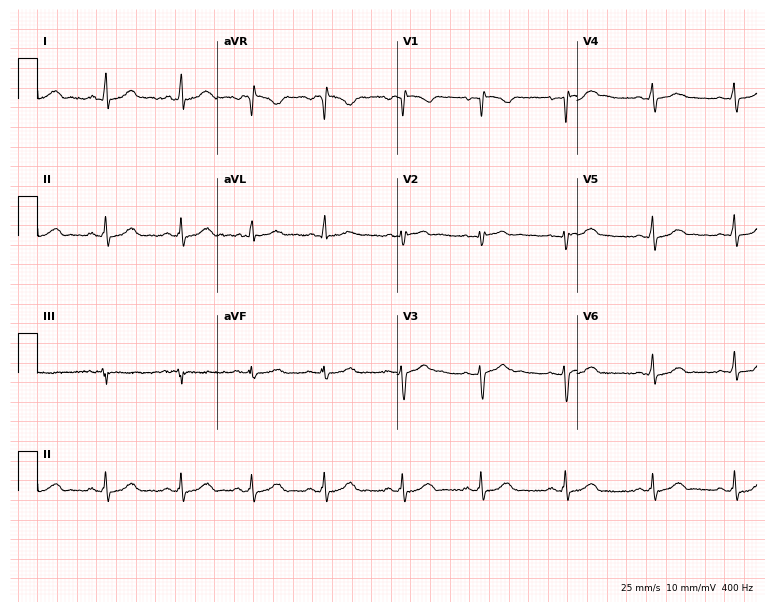
Electrocardiogram, a 24-year-old woman. Overall reading on record: normal ECG.